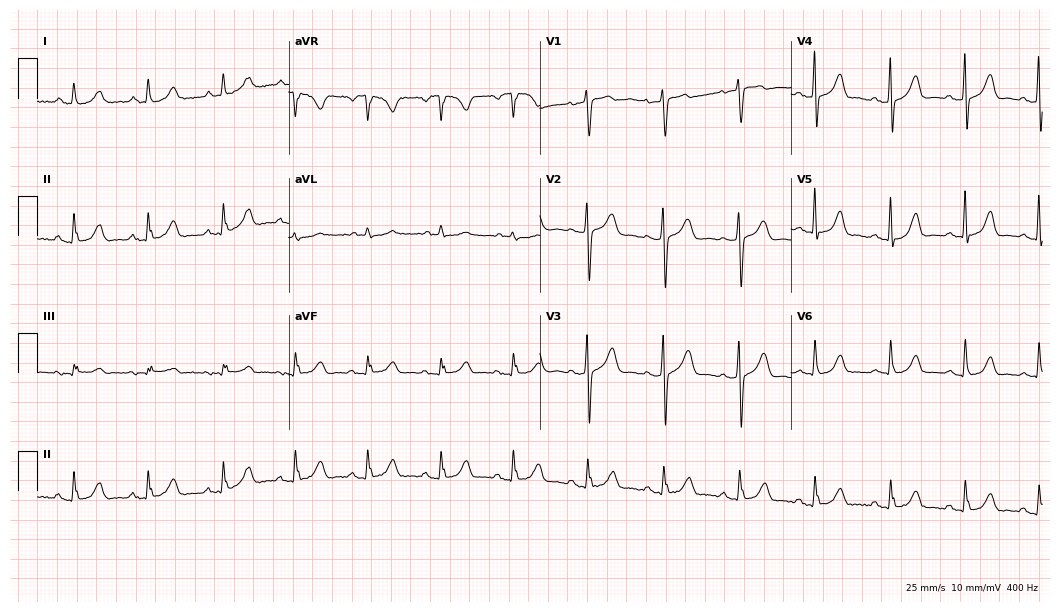
12-lead ECG from a 62-year-old female patient. Recorded interpretation: within normal limits.